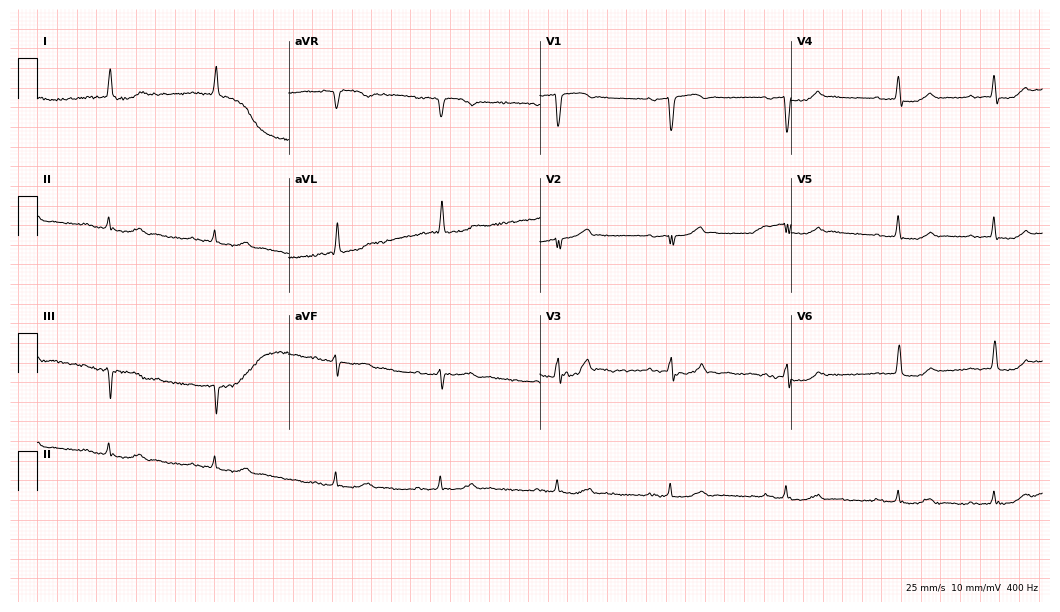
Resting 12-lead electrocardiogram (10.2-second recording at 400 Hz). Patient: an 81-year-old man. None of these six findings is recorded: first-degree AV block, right bundle branch block, left bundle branch block, sinus bradycardia, atrial fibrillation, sinus tachycardia.